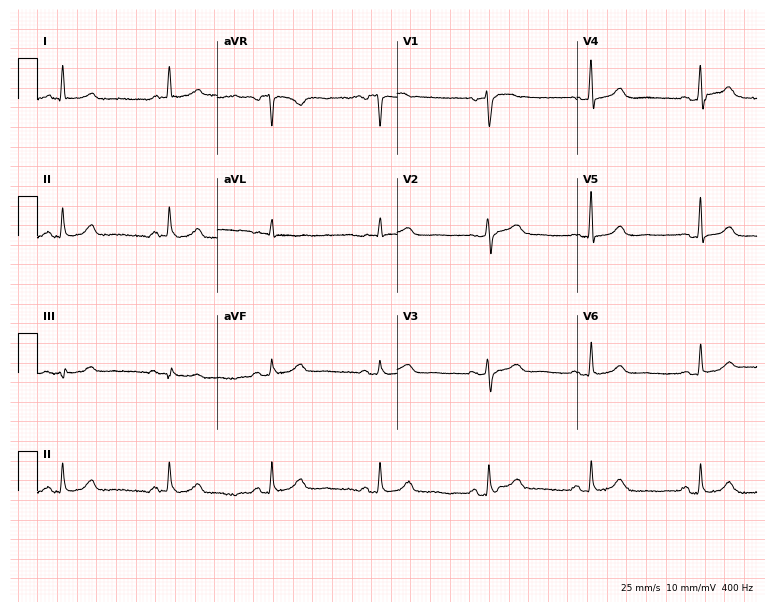
Standard 12-lead ECG recorded from a 61-year-old female (7.3-second recording at 400 Hz). Read as a normal ECG.